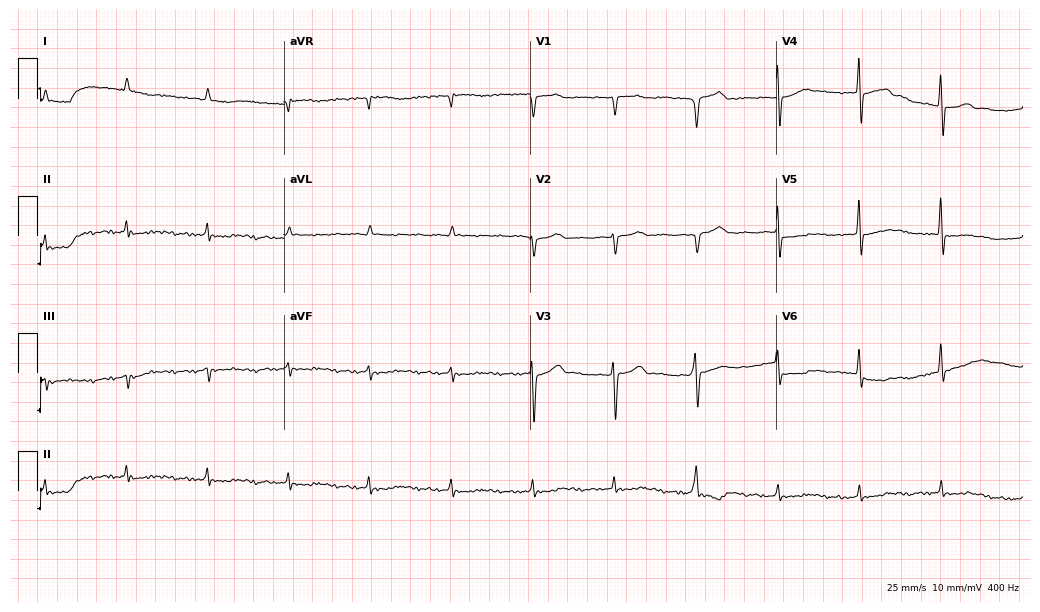
ECG — a 77-year-old male patient. Screened for six findings — first-degree AV block, right bundle branch block, left bundle branch block, sinus bradycardia, atrial fibrillation, sinus tachycardia — none is recorded. Only these six findings were labelled.